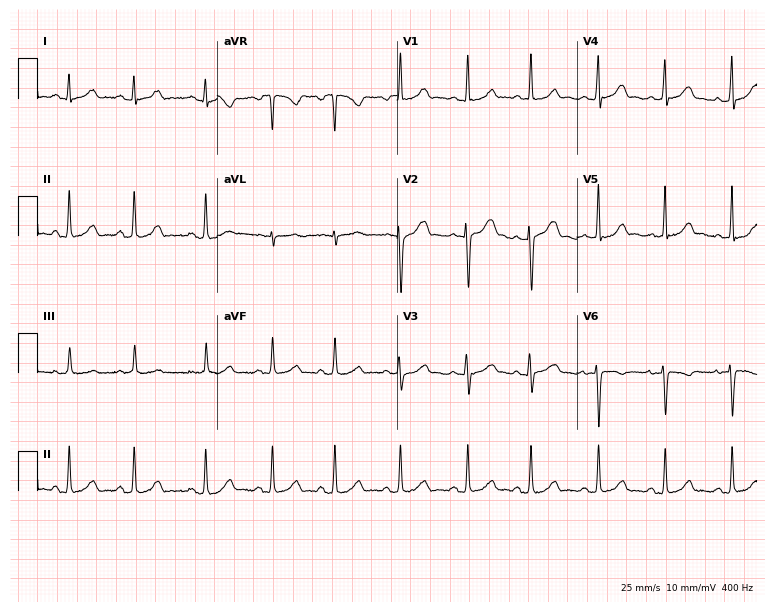
Standard 12-lead ECG recorded from a 19-year-old female (7.3-second recording at 400 Hz). None of these six findings is recorded: first-degree AV block, right bundle branch block, left bundle branch block, sinus bradycardia, atrial fibrillation, sinus tachycardia. Findings outside these six are not listed.